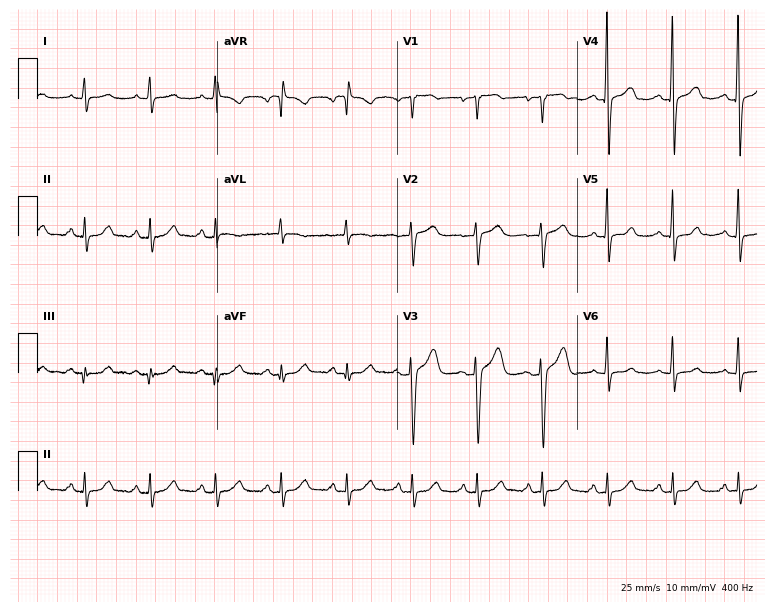
Electrocardiogram (7.3-second recording at 400 Hz), a 55-year-old woman. Of the six screened findings (first-degree AV block, right bundle branch block, left bundle branch block, sinus bradycardia, atrial fibrillation, sinus tachycardia), none is recorded.